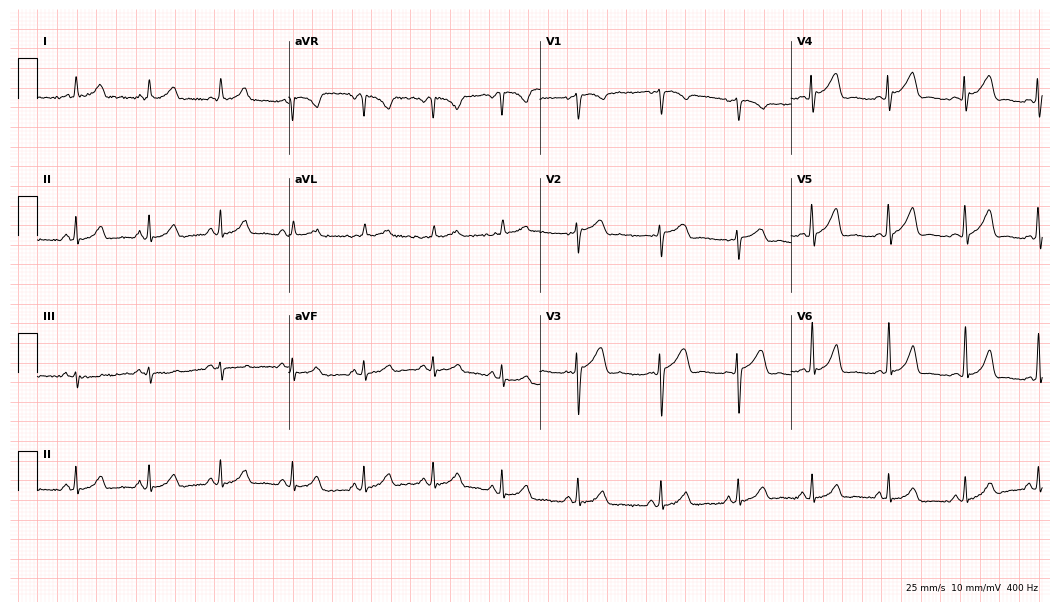
Resting 12-lead electrocardiogram. Patient: a woman, 53 years old. Read as a normal ECG.